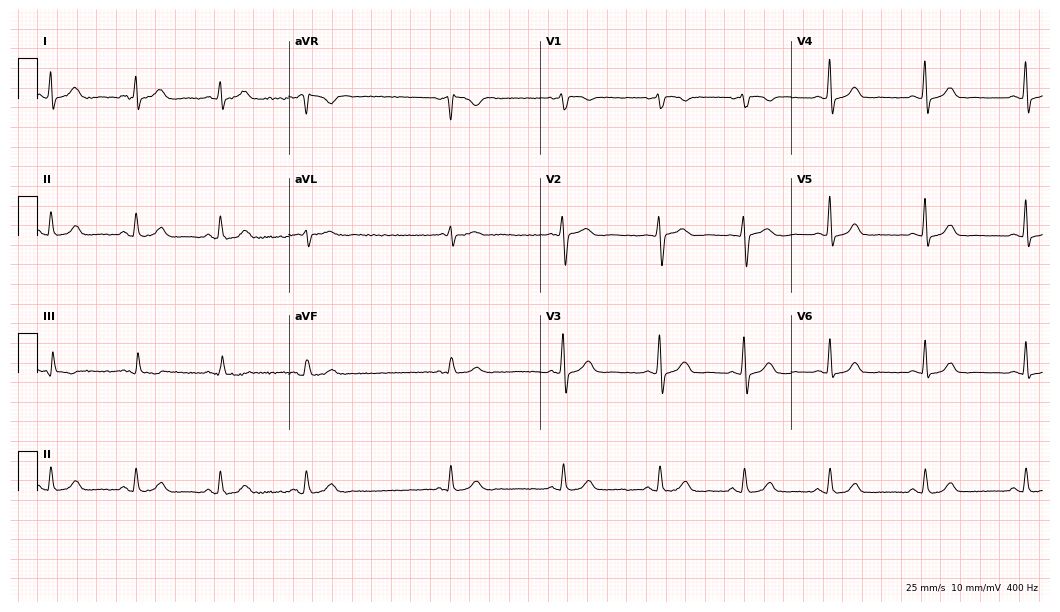
Resting 12-lead electrocardiogram. Patient: a woman, 45 years old. None of these six findings is recorded: first-degree AV block, right bundle branch block (RBBB), left bundle branch block (LBBB), sinus bradycardia, atrial fibrillation (AF), sinus tachycardia.